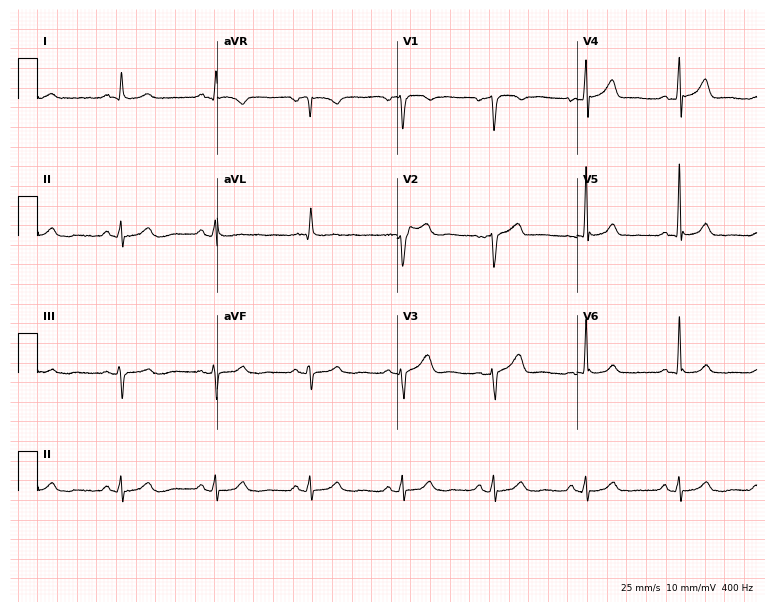
Resting 12-lead electrocardiogram. Patient: a 47-year-old male. Read as a normal ECG.